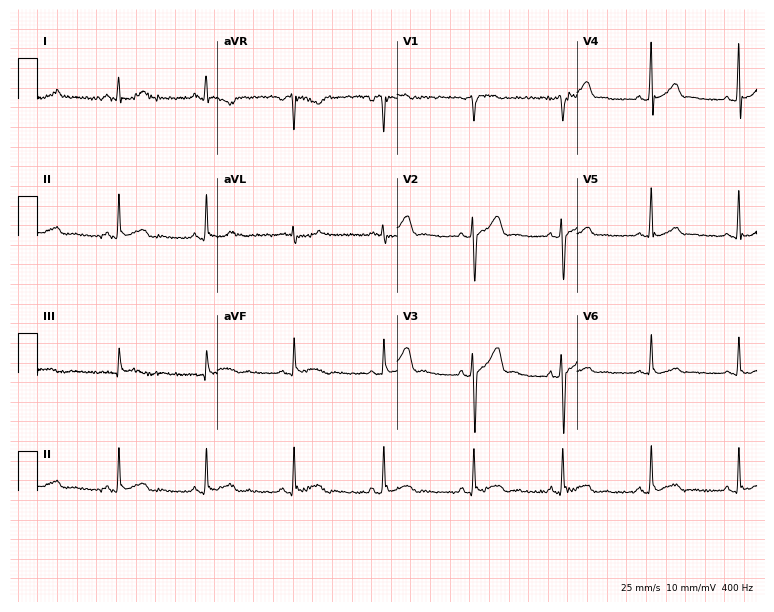
Standard 12-lead ECG recorded from a man, 44 years old (7.3-second recording at 400 Hz). None of these six findings is recorded: first-degree AV block, right bundle branch block, left bundle branch block, sinus bradycardia, atrial fibrillation, sinus tachycardia. Only these six findings were labelled.